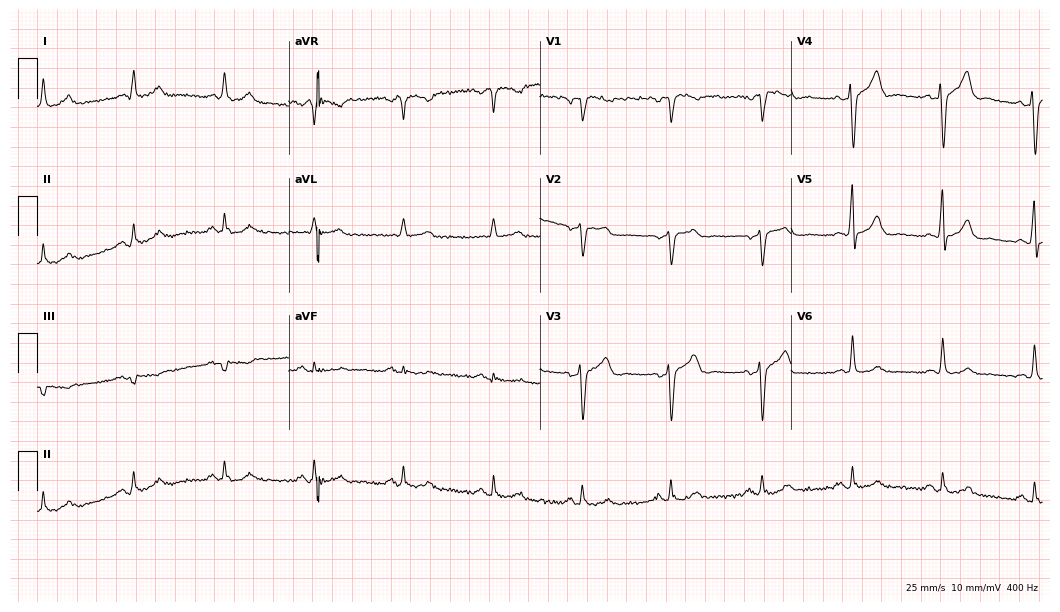
ECG (10.2-second recording at 400 Hz) — a male, 55 years old. Screened for six findings — first-degree AV block, right bundle branch block, left bundle branch block, sinus bradycardia, atrial fibrillation, sinus tachycardia — none is recorded.